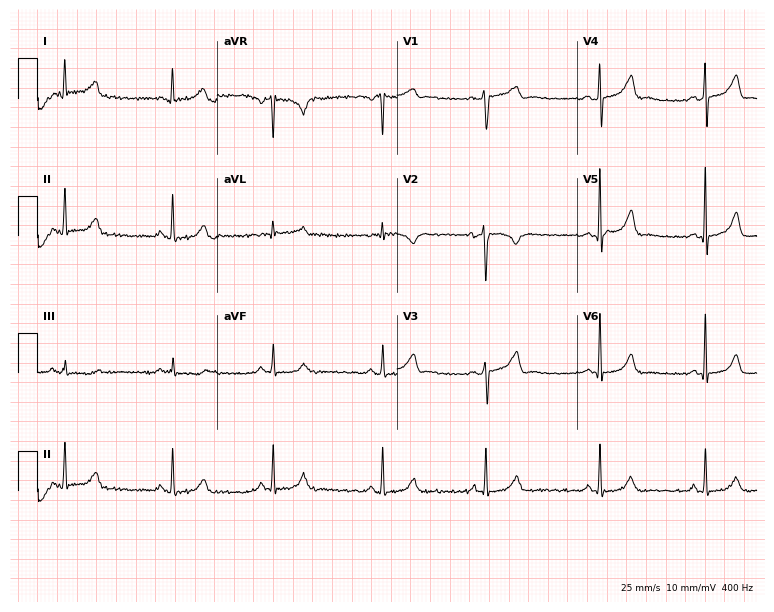
Standard 12-lead ECG recorded from a female patient, 29 years old (7.3-second recording at 400 Hz). None of these six findings is recorded: first-degree AV block, right bundle branch block, left bundle branch block, sinus bradycardia, atrial fibrillation, sinus tachycardia. Other findings, if any, are not listed.